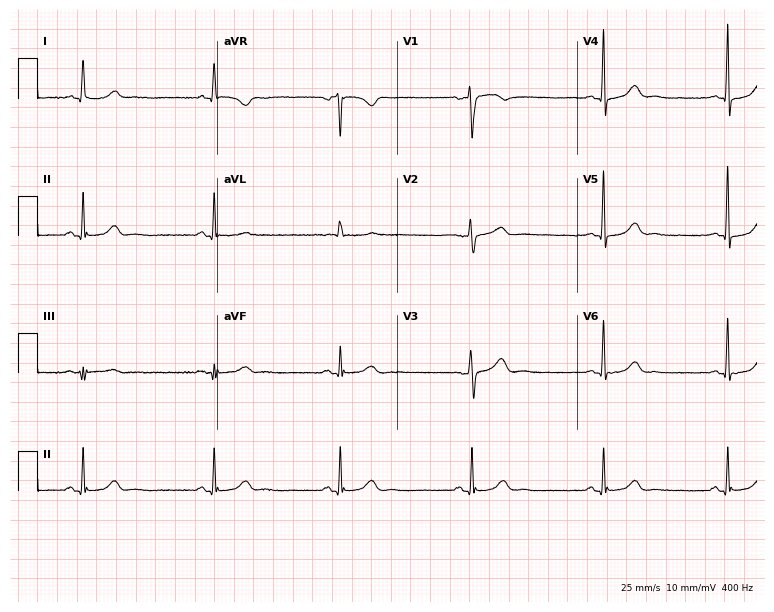
Standard 12-lead ECG recorded from a 60-year-old woman. None of these six findings is recorded: first-degree AV block, right bundle branch block, left bundle branch block, sinus bradycardia, atrial fibrillation, sinus tachycardia. Other findings, if any, are not listed.